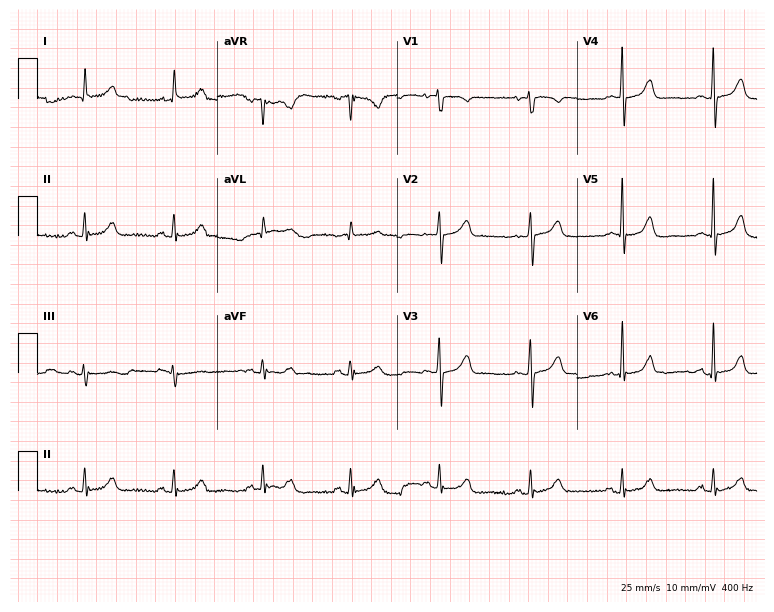
12-lead ECG (7.3-second recording at 400 Hz) from a female patient, 54 years old. Labelled as a normal ECG.